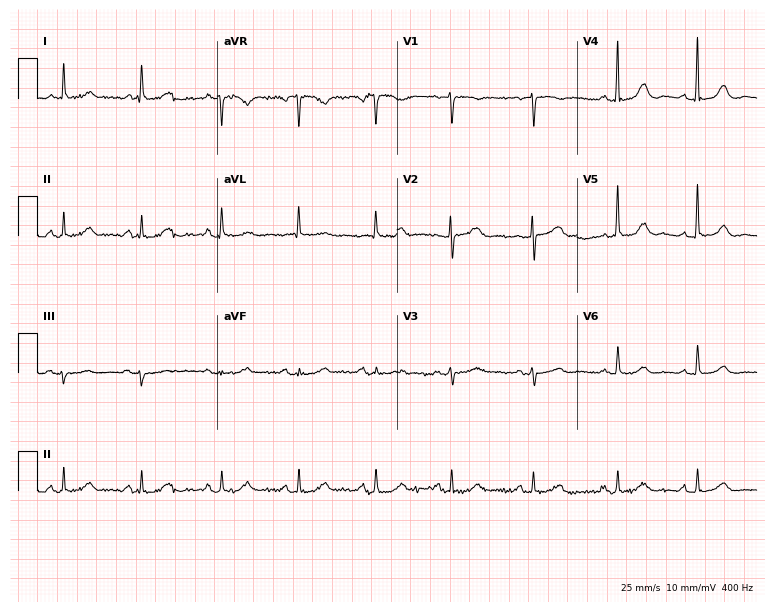
ECG (7.3-second recording at 400 Hz) — an 83-year-old woman. Labelled as a normal ECG.